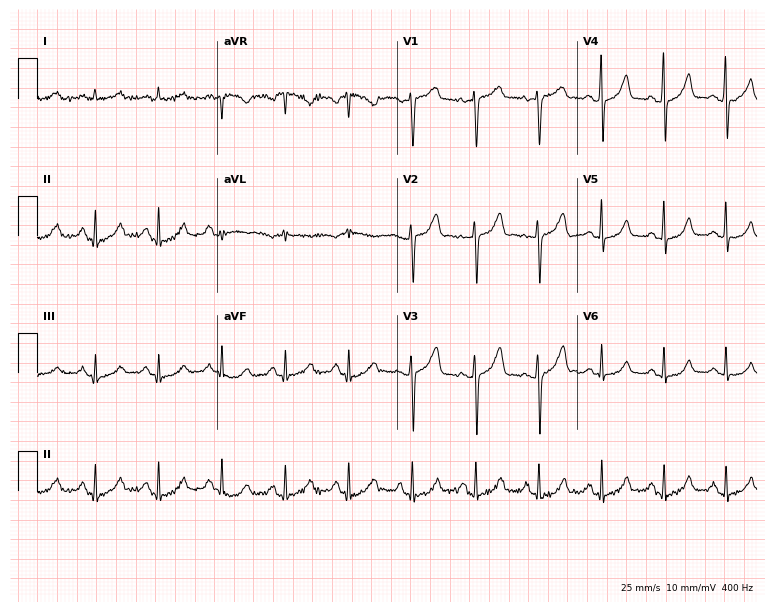
ECG (7.3-second recording at 400 Hz) — a woman, 65 years old. Screened for six findings — first-degree AV block, right bundle branch block (RBBB), left bundle branch block (LBBB), sinus bradycardia, atrial fibrillation (AF), sinus tachycardia — none is recorded.